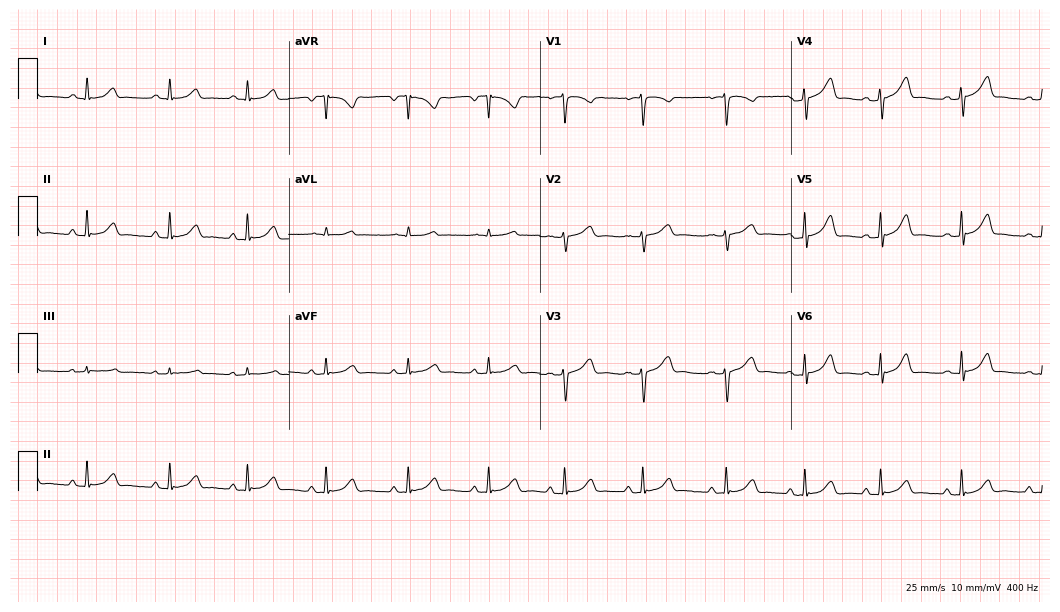
12-lead ECG from an 18-year-old female patient (10.2-second recording at 400 Hz). Recorded interpretation: within normal limits.